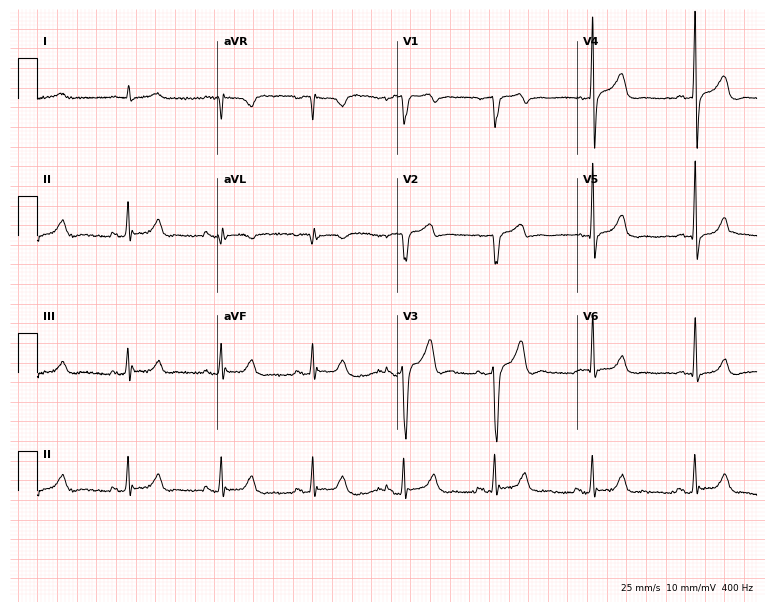
12-lead ECG from a male patient, 57 years old. Screened for six findings — first-degree AV block, right bundle branch block, left bundle branch block, sinus bradycardia, atrial fibrillation, sinus tachycardia — none is recorded.